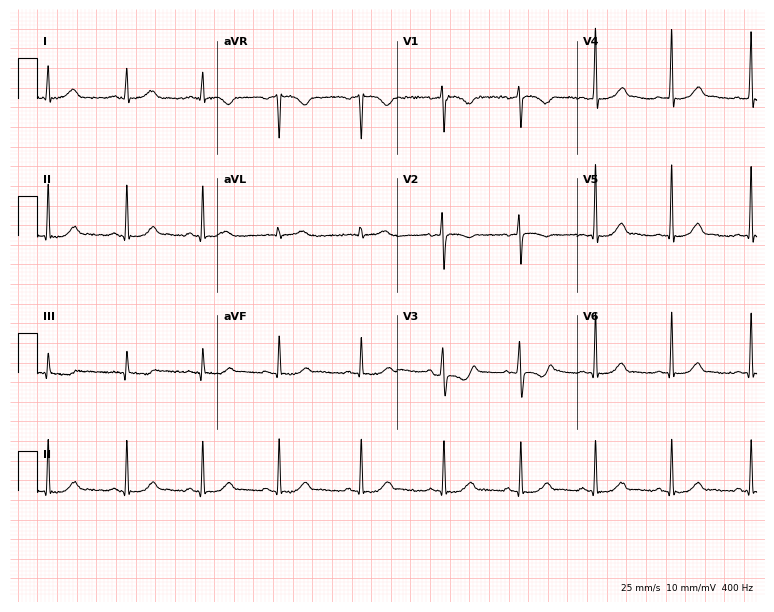
12-lead ECG from a female, 26 years old. Recorded interpretation: within normal limits.